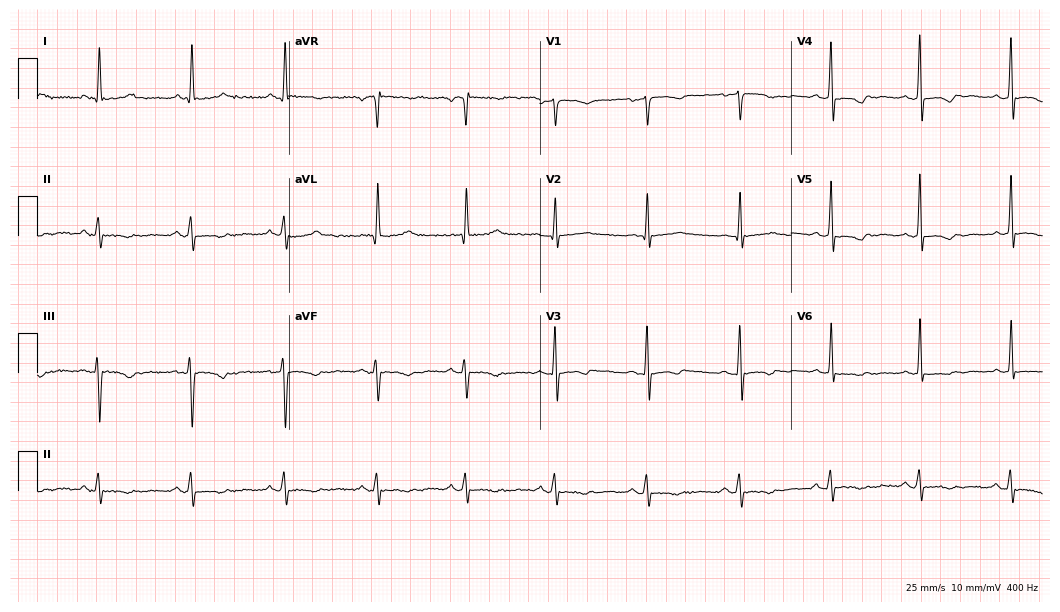
Resting 12-lead electrocardiogram. Patient: a 54-year-old female. None of these six findings is recorded: first-degree AV block, right bundle branch block, left bundle branch block, sinus bradycardia, atrial fibrillation, sinus tachycardia.